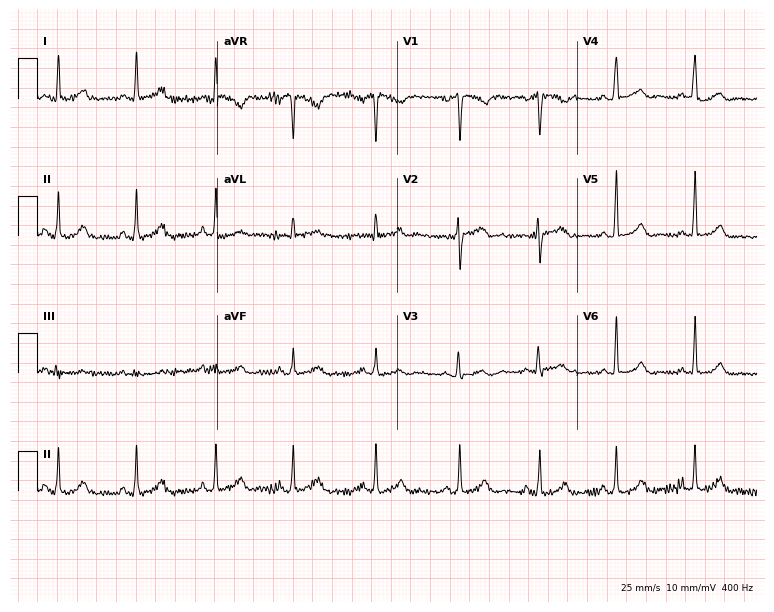
Standard 12-lead ECG recorded from a 35-year-old female. Read as a normal ECG.